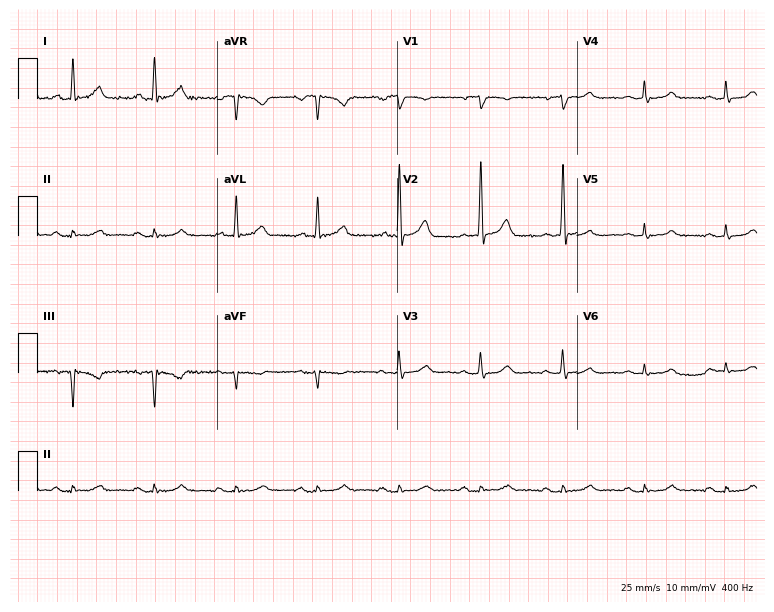
12-lead ECG from an 85-year-old male (7.3-second recording at 400 Hz). Recorded interpretation: within normal limits.